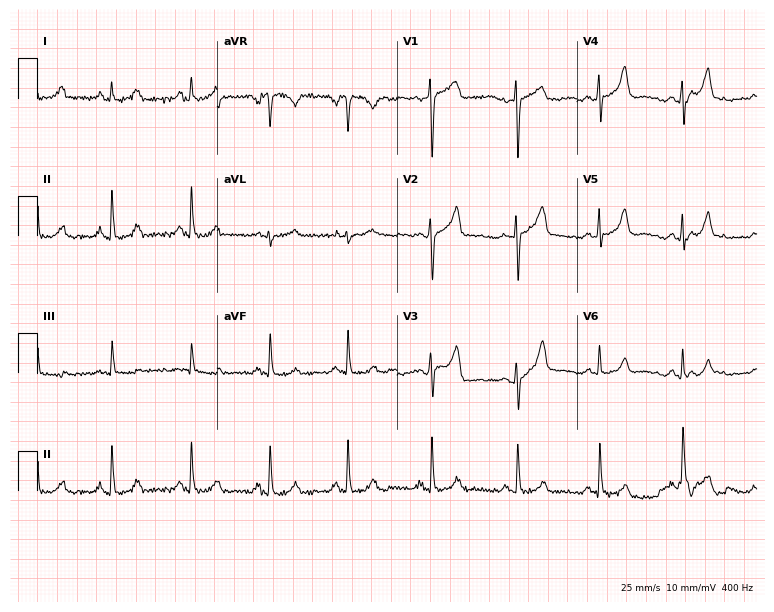
Standard 12-lead ECG recorded from a 45-year-old woman (7.3-second recording at 400 Hz). Read as a normal ECG.